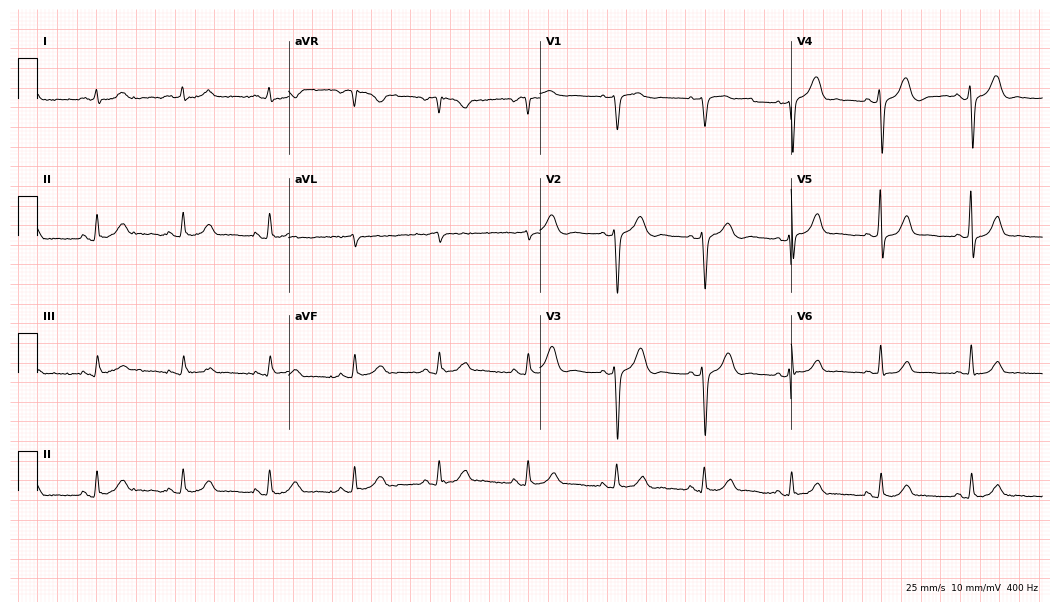
Standard 12-lead ECG recorded from a 62-year-old man (10.2-second recording at 400 Hz). None of these six findings is recorded: first-degree AV block, right bundle branch block, left bundle branch block, sinus bradycardia, atrial fibrillation, sinus tachycardia.